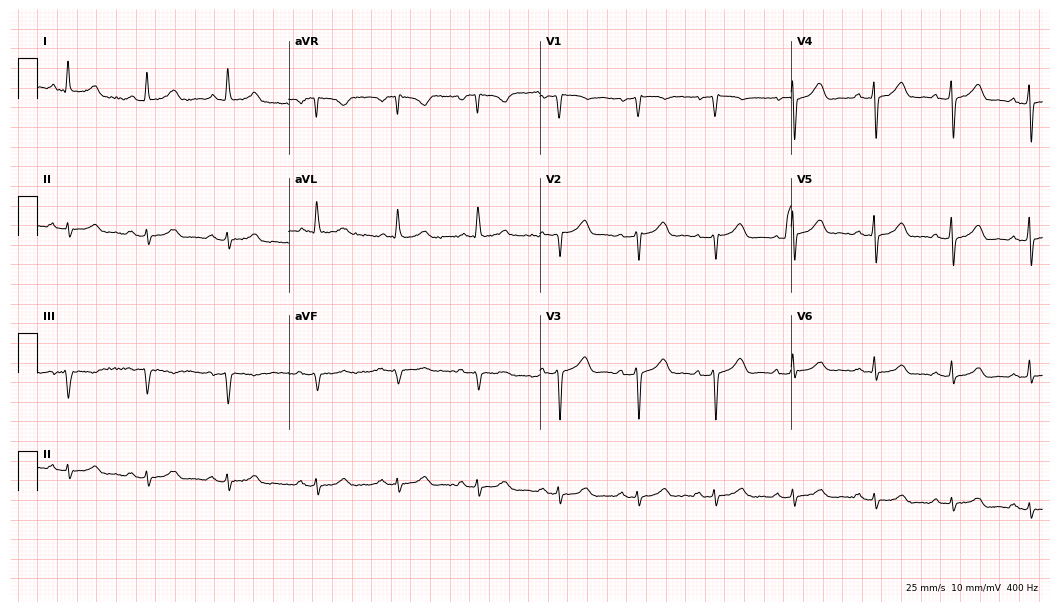
Resting 12-lead electrocardiogram (10.2-second recording at 400 Hz). Patient: a female, 55 years old. None of these six findings is recorded: first-degree AV block, right bundle branch block, left bundle branch block, sinus bradycardia, atrial fibrillation, sinus tachycardia.